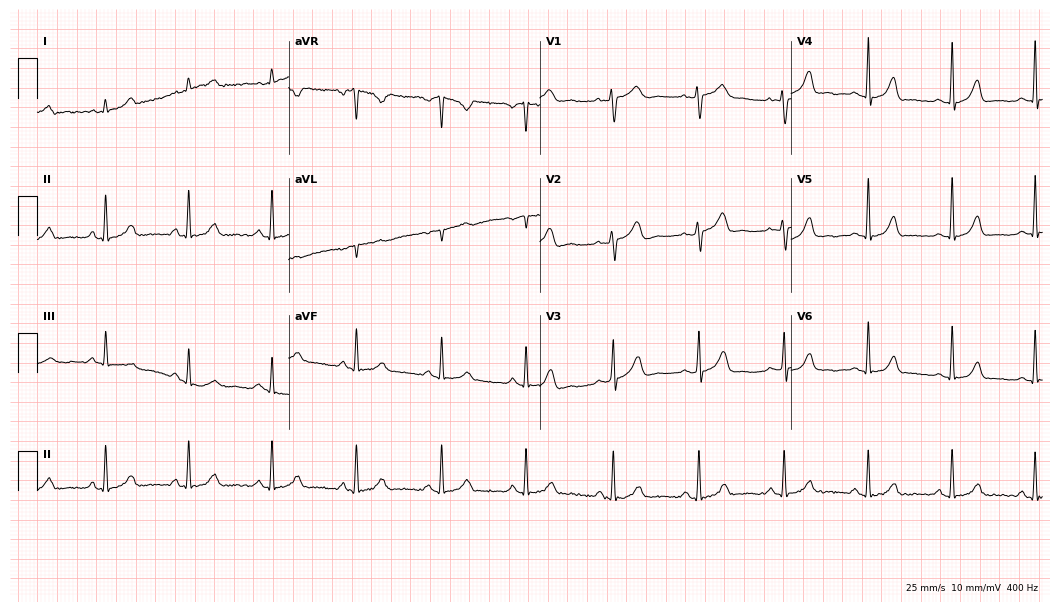
Electrocardiogram (10.2-second recording at 400 Hz), a 41-year-old female patient. Of the six screened findings (first-degree AV block, right bundle branch block (RBBB), left bundle branch block (LBBB), sinus bradycardia, atrial fibrillation (AF), sinus tachycardia), none is recorded.